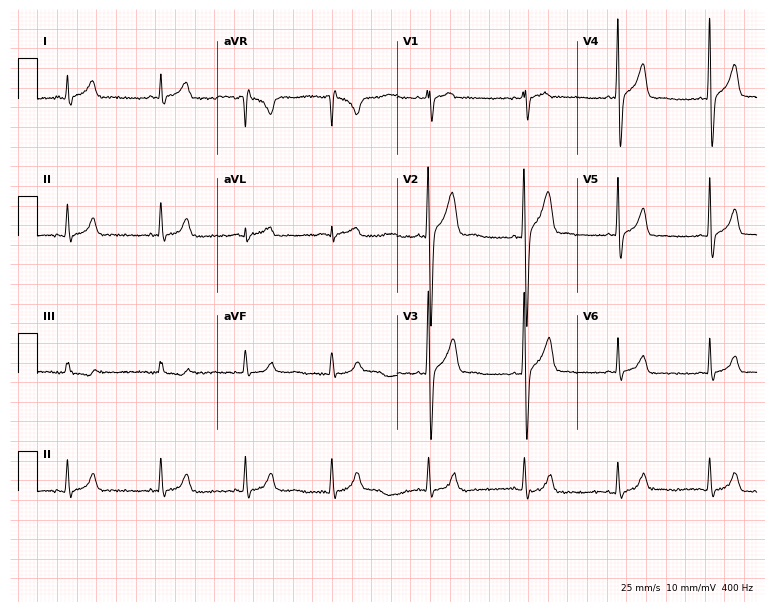
Standard 12-lead ECG recorded from a man, 29 years old. None of these six findings is recorded: first-degree AV block, right bundle branch block, left bundle branch block, sinus bradycardia, atrial fibrillation, sinus tachycardia.